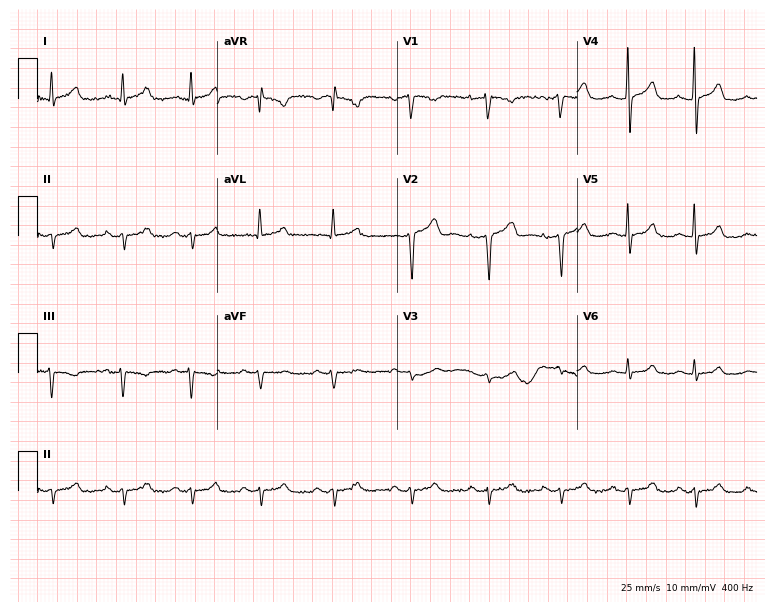
12-lead ECG from a man, 37 years old (7.3-second recording at 400 Hz). No first-degree AV block, right bundle branch block (RBBB), left bundle branch block (LBBB), sinus bradycardia, atrial fibrillation (AF) or sinus tachycardia recorded for this tracing.